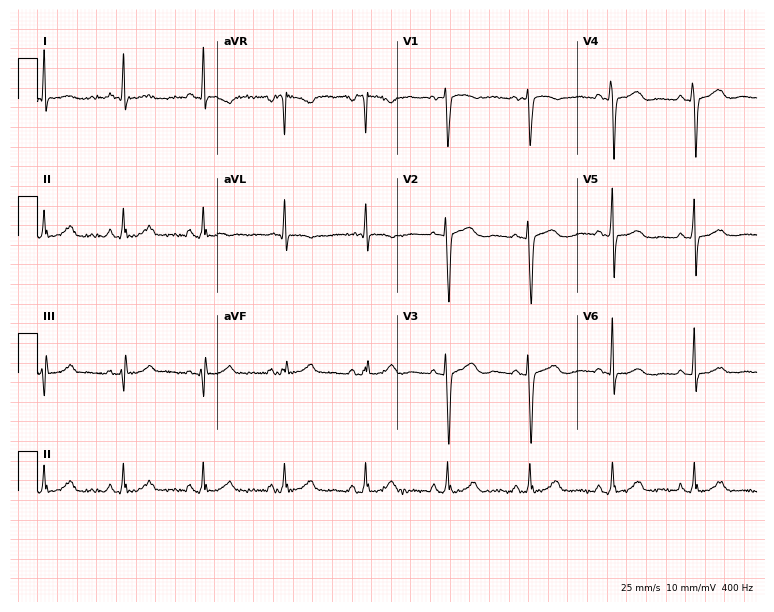
Resting 12-lead electrocardiogram. Patient: a female, 68 years old. Read as a normal ECG.